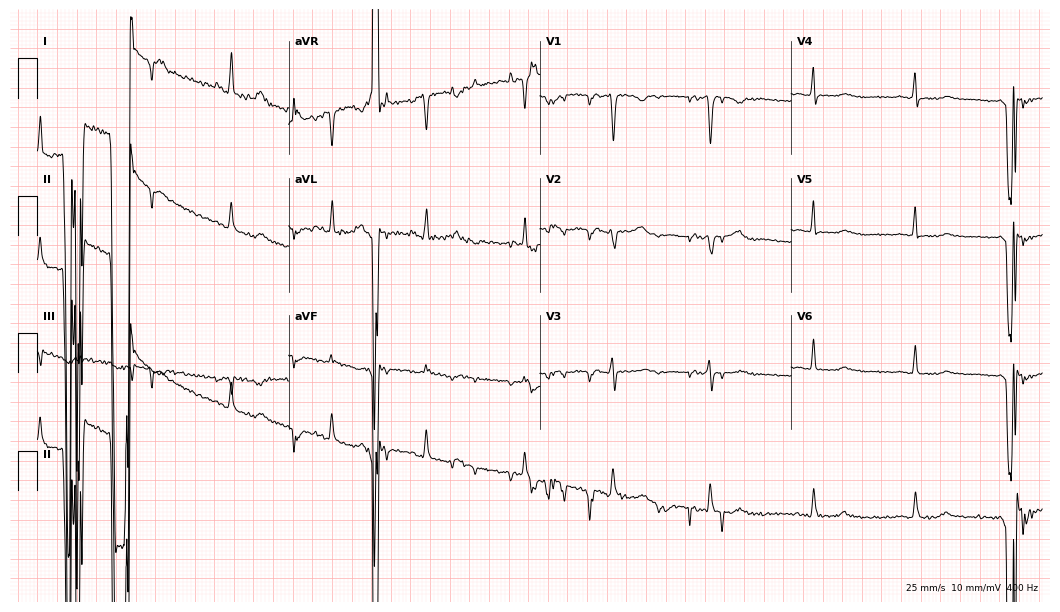
Standard 12-lead ECG recorded from a woman, 49 years old (10.2-second recording at 400 Hz). None of these six findings is recorded: first-degree AV block, right bundle branch block, left bundle branch block, sinus bradycardia, atrial fibrillation, sinus tachycardia. Findings outside these six are not listed.